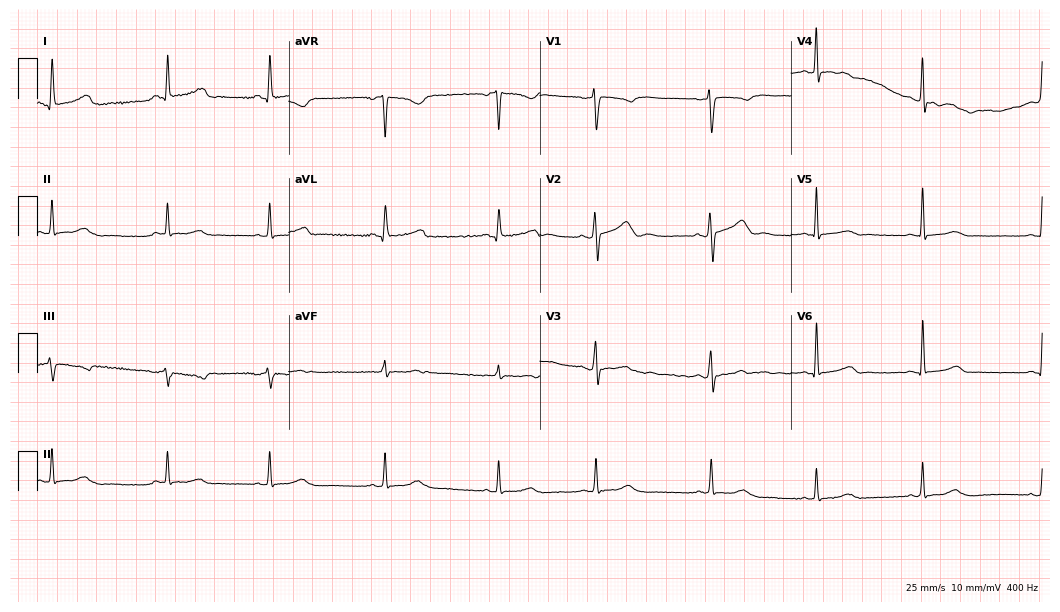
ECG — a 28-year-old woman. Screened for six findings — first-degree AV block, right bundle branch block, left bundle branch block, sinus bradycardia, atrial fibrillation, sinus tachycardia — none is recorded. Only these six findings were labelled.